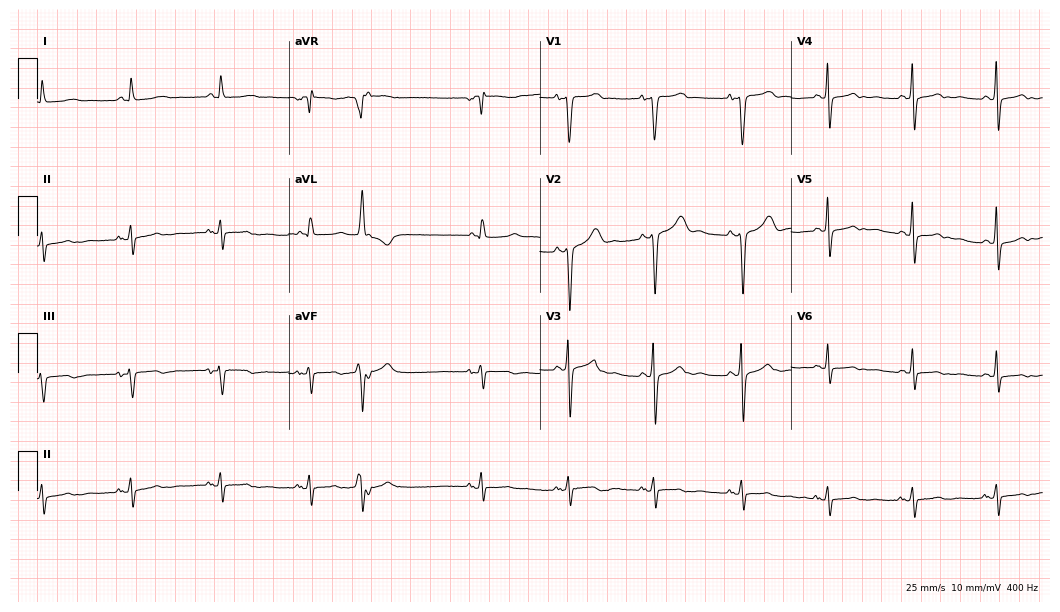
12-lead ECG (10.2-second recording at 400 Hz) from a woman, 66 years old. Screened for six findings — first-degree AV block, right bundle branch block, left bundle branch block, sinus bradycardia, atrial fibrillation, sinus tachycardia — none is recorded. Other findings, if any, are not listed.